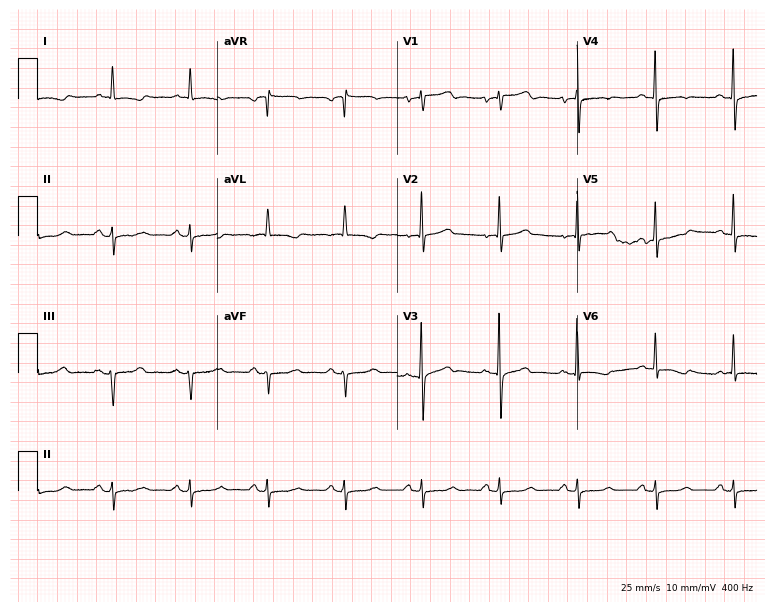
ECG (7.3-second recording at 400 Hz) — a woman, 70 years old. Screened for six findings — first-degree AV block, right bundle branch block, left bundle branch block, sinus bradycardia, atrial fibrillation, sinus tachycardia — none is recorded.